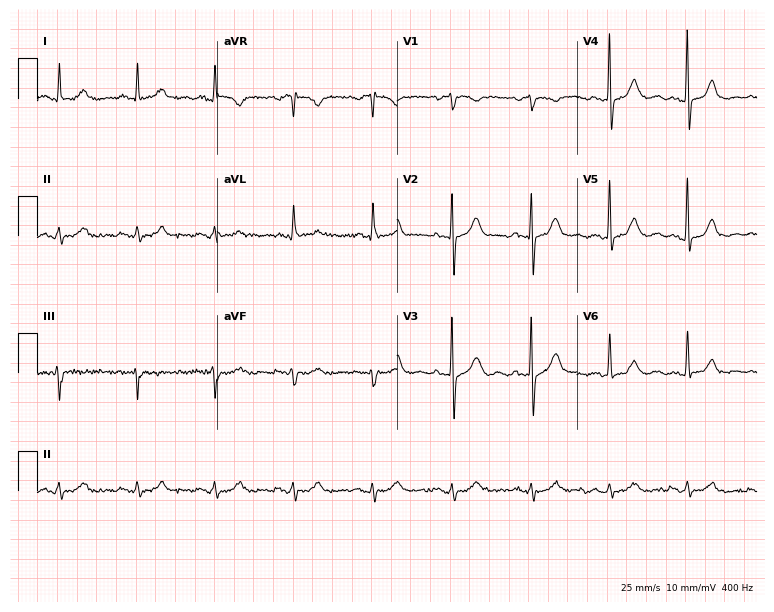
ECG (7.3-second recording at 400 Hz) — a male, 71 years old. Labelled as a normal ECG.